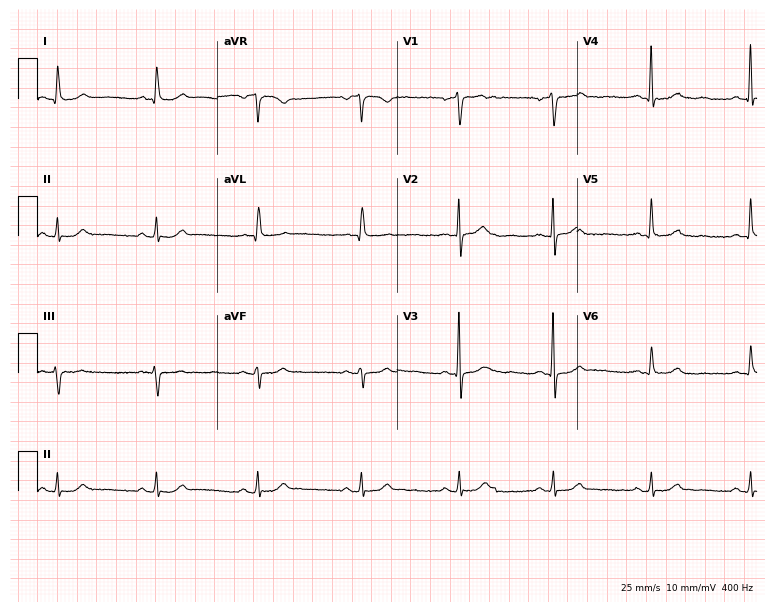
Standard 12-lead ECG recorded from a male patient, 55 years old. Read as a normal ECG.